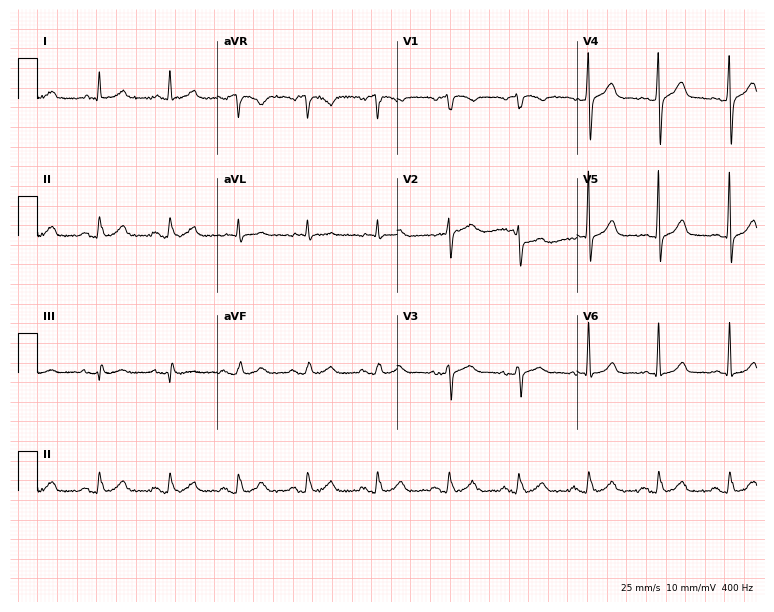
12-lead ECG from a male, 56 years old. Recorded interpretation: within normal limits.